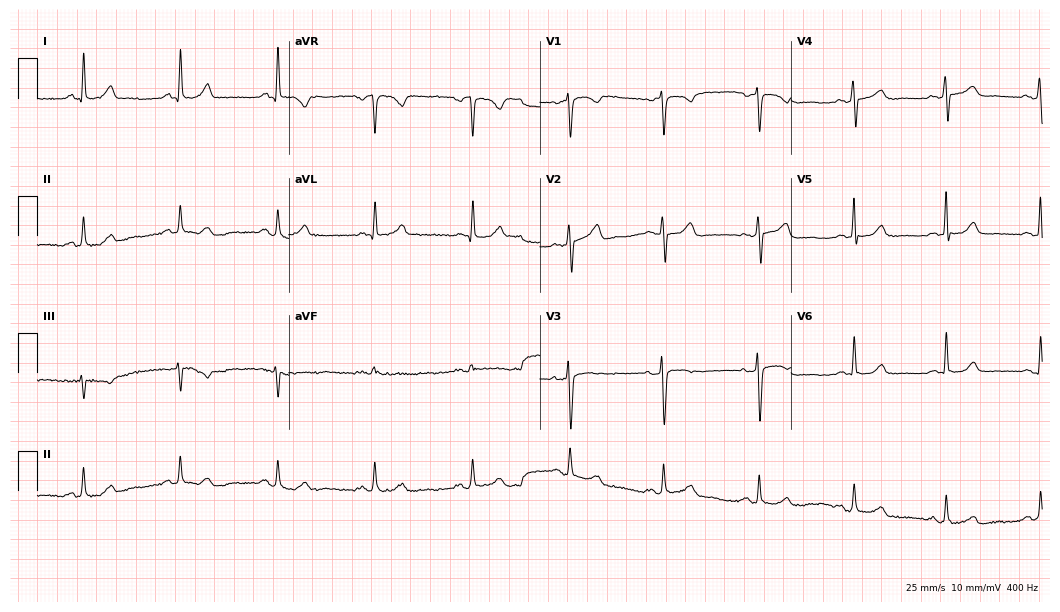
Resting 12-lead electrocardiogram. Patient: a 55-year-old female. None of these six findings is recorded: first-degree AV block, right bundle branch block, left bundle branch block, sinus bradycardia, atrial fibrillation, sinus tachycardia. Findings outside these six are not listed.